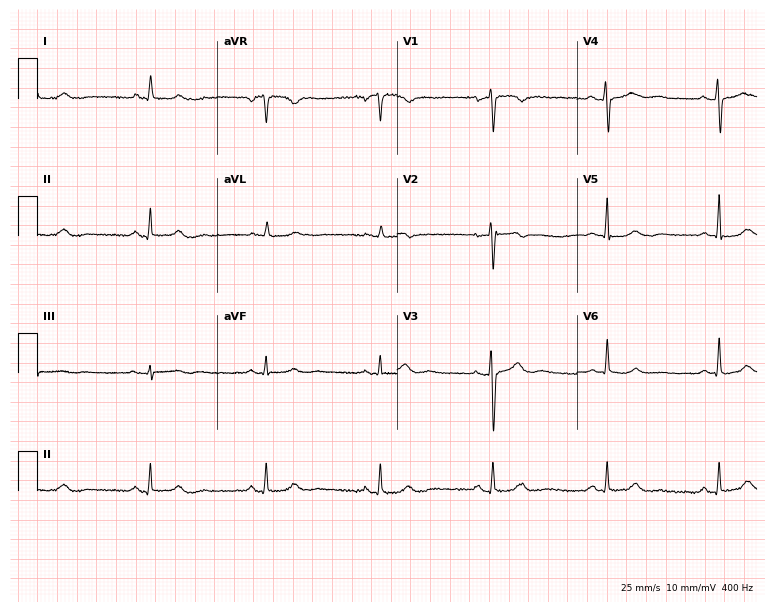
12-lead ECG from a woman, 56 years old. Recorded interpretation: within normal limits.